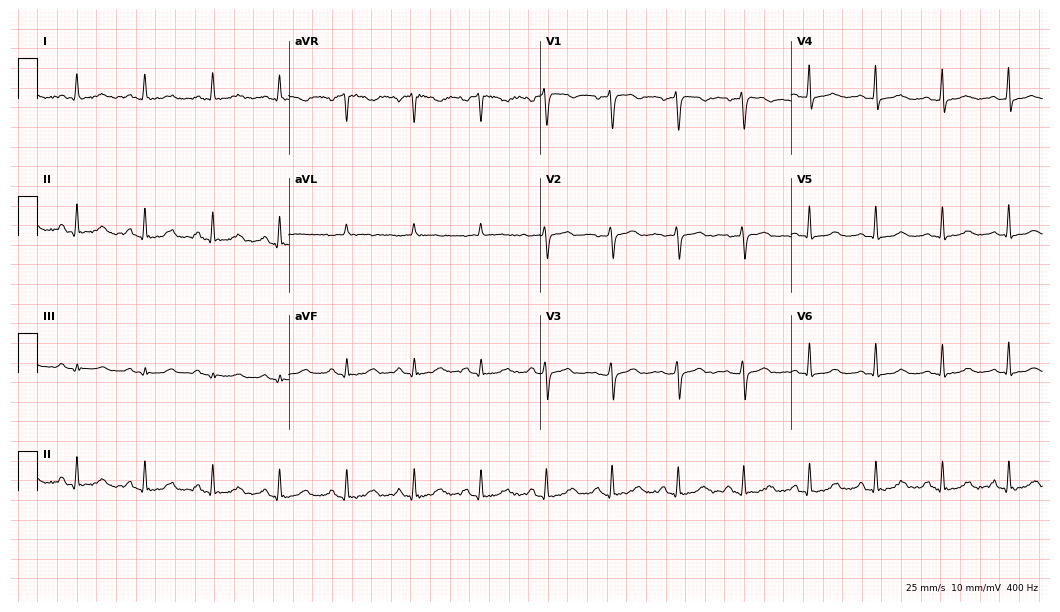
Electrocardiogram (10.2-second recording at 400 Hz), a female patient, 52 years old. Overall reading on record: normal ECG.